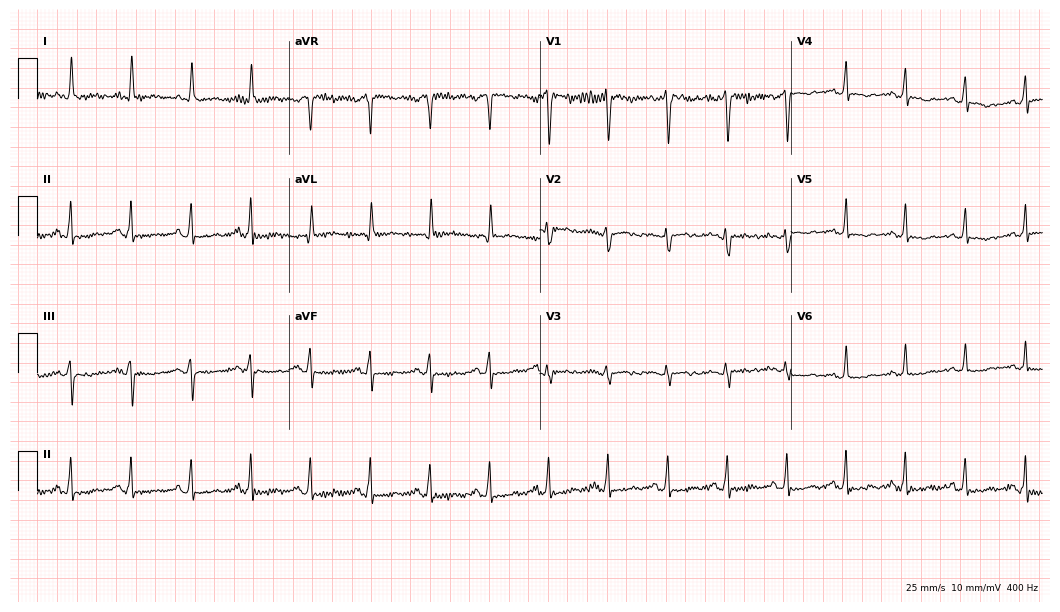
Resting 12-lead electrocardiogram (10.2-second recording at 400 Hz). Patient: a 46-year-old female. None of these six findings is recorded: first-degree AV block, right bundle branch block, left bundle branch block, sinus bradycardia, atrial fibrillation, sinus tachycardia.